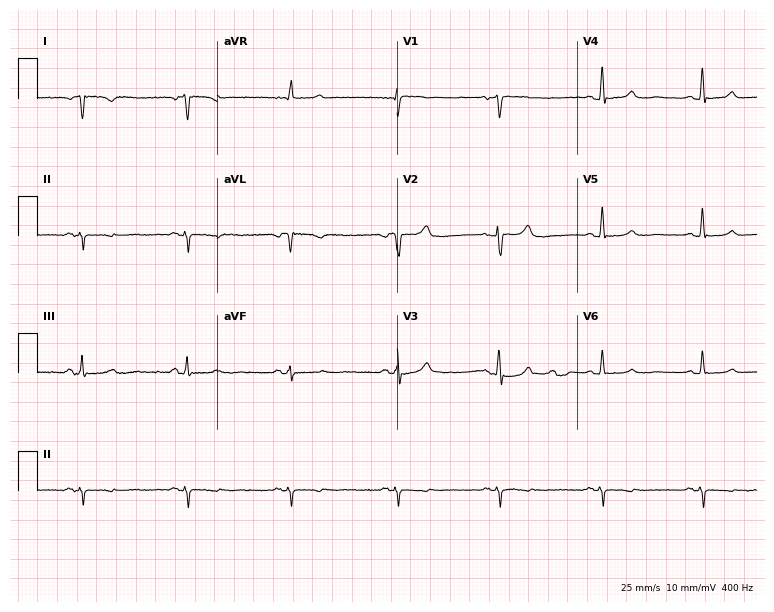
Electrocardiogram, a female, 65 years old. Of the six screened findings (first-degree AV block, right bundle branch block, left bundle branch block, sinus bradycardia, atrial fibrillation, sinus tachycardia), none is recorded.